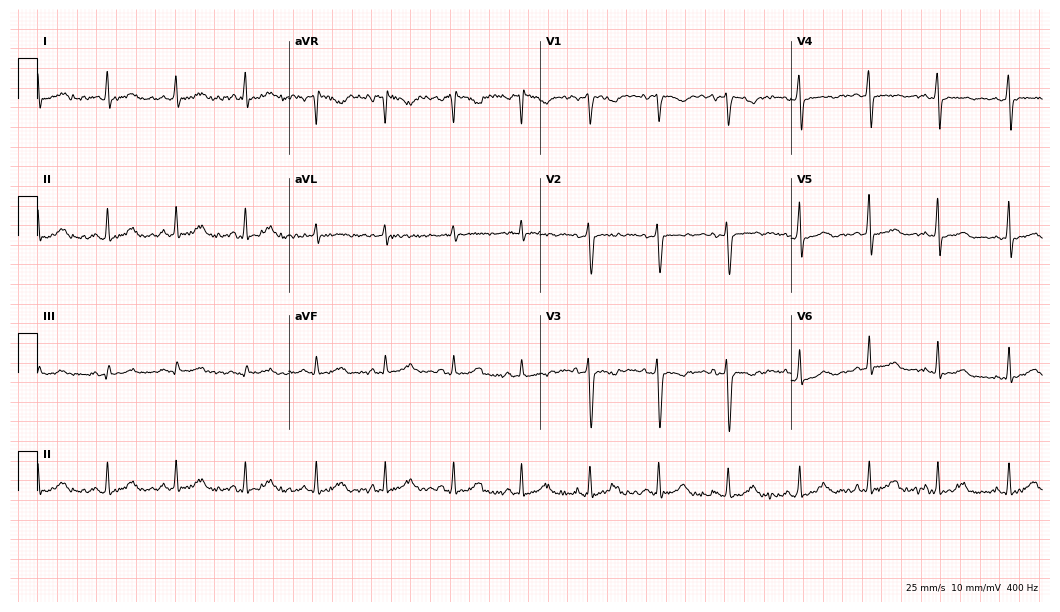
Standard 12-lead ECG recorded from a 38-year-old female (10.2-second recording at 400 Hz). None of these six findings is recorded: first-degree AV block, right bundle branch block, left bundle branch block, sinus bradycardia, atrial fibrillation, sinus tachycardia. Findings outside these six are not listed.